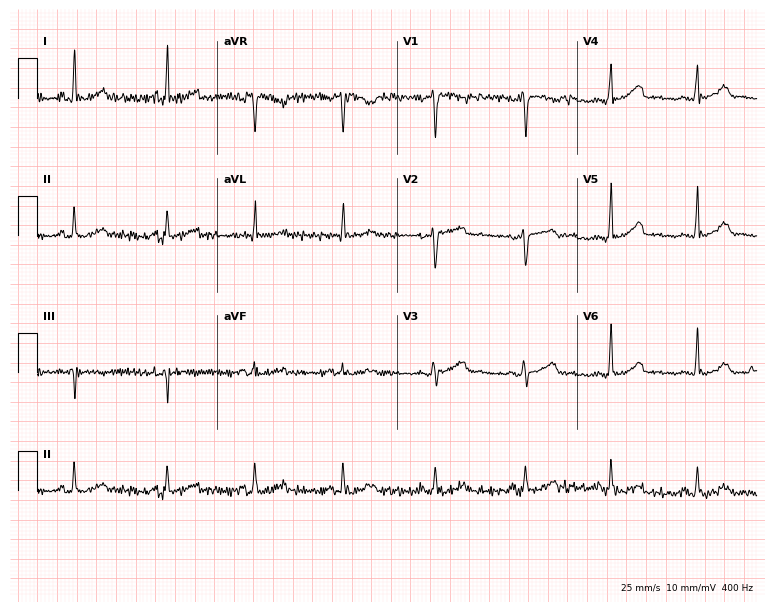
Standard 12-lead ECG recorded from a woman, 37 years old (7.3-second recording at 400 Hz). Read as a normal ECG.